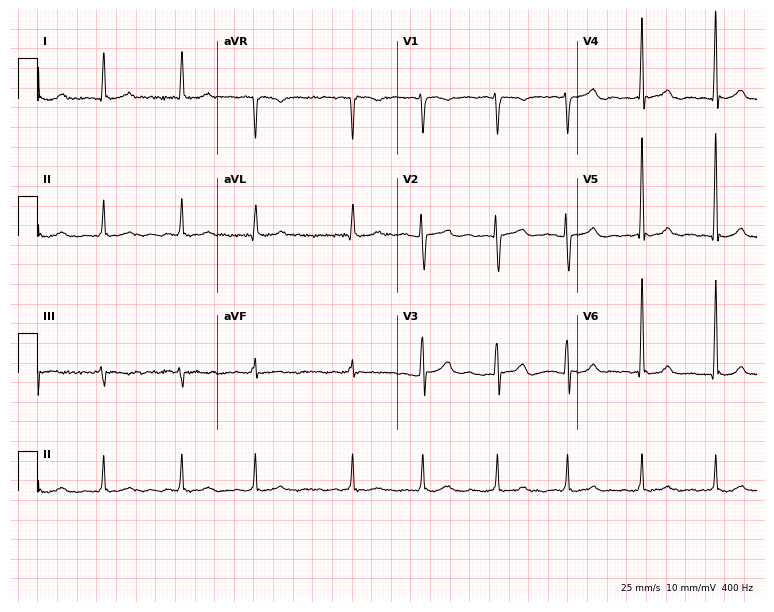
ECG (7.3-second recording at 400 Hz) — a 66-year-old woman. Findings include atrial fibrillation (AF).